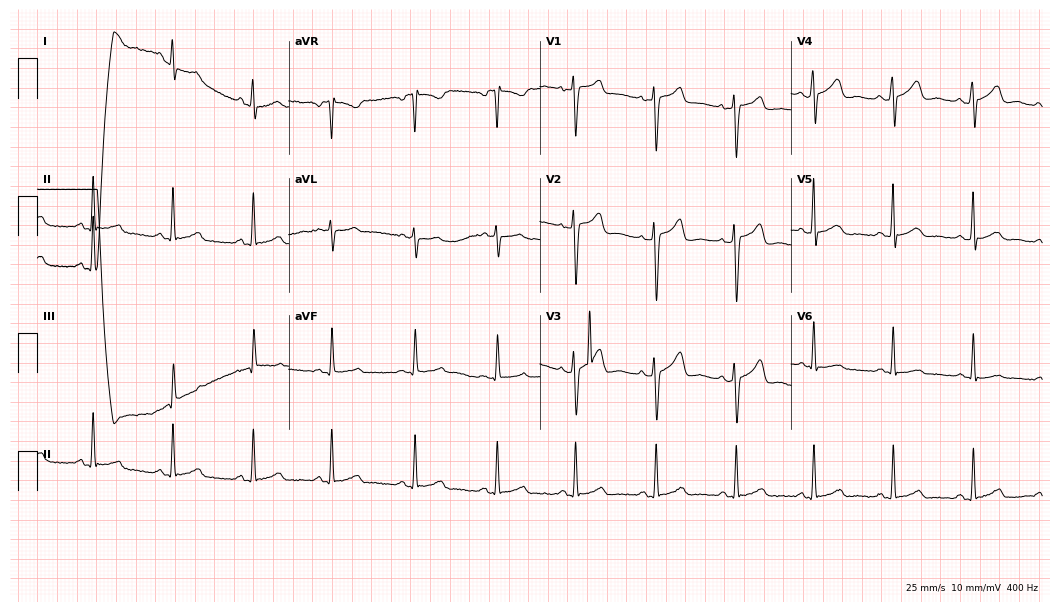
ECG (10.2-second recording at 400 Hz) — a woman, 43 years old. Screened for six findings — first-degree AV block, right bundle branch block, left bundle branch block, sinus bradycardia, atrial fibrillation, sinus tachycardia — none is recorded. Other findings, if any, are not listed.